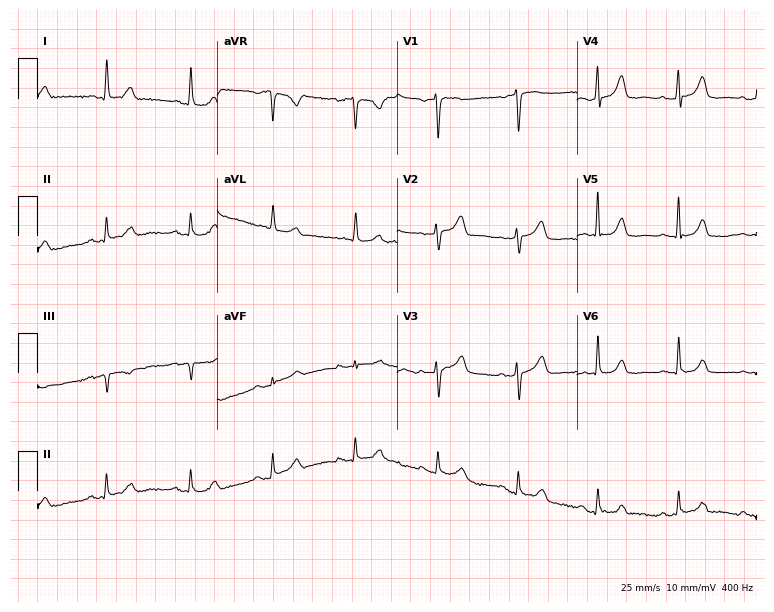
12-lead ECG from a female, 59 years old (7.3-second recording at 400 Hz). No first-degree AV block, right bundle branch block, left bundle branch block, sinus bradycardia, atrial fibrillation or sinus tachycardia recorded for this tracing.